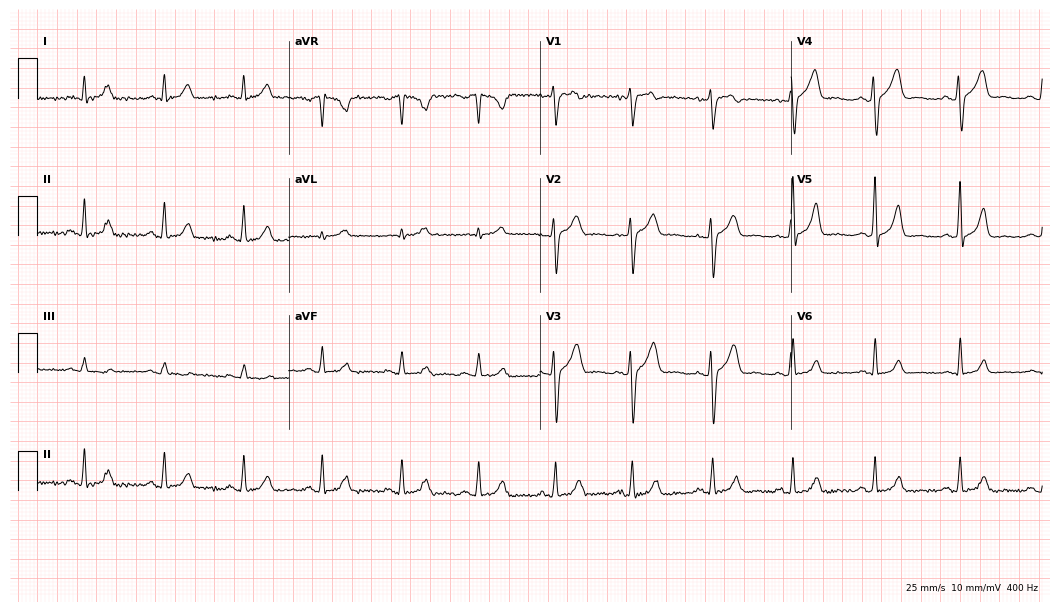
Resting 12-lead electrocardiogram. Patient: a male, 42 years old. Read as a normal ECG.